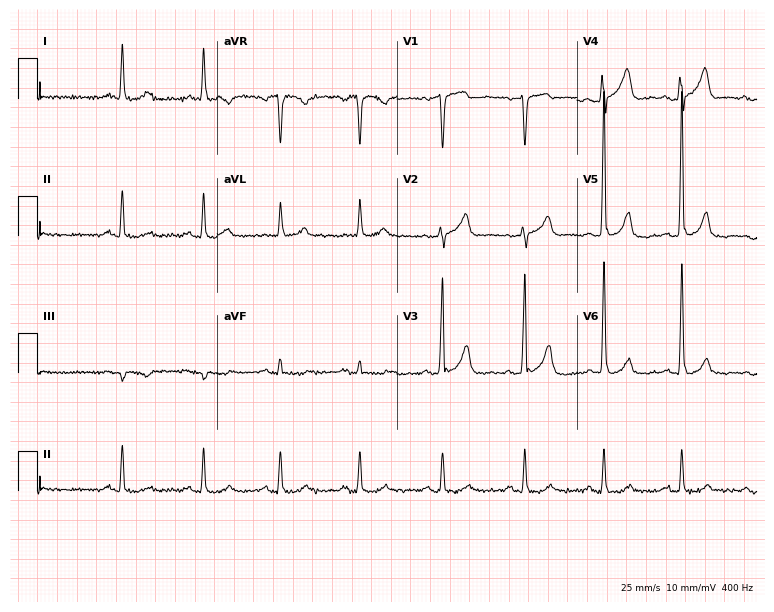
Resting 12-lead electrocardiogram (7.3-second recording at 400 Hz). Patient: a man, 69 years old. None of these six findings is recorded: first-degree AV block, right bundle branch block, left bundle branch block, sinus bradycardia, atrial fibrillation, sinus tachycardia.